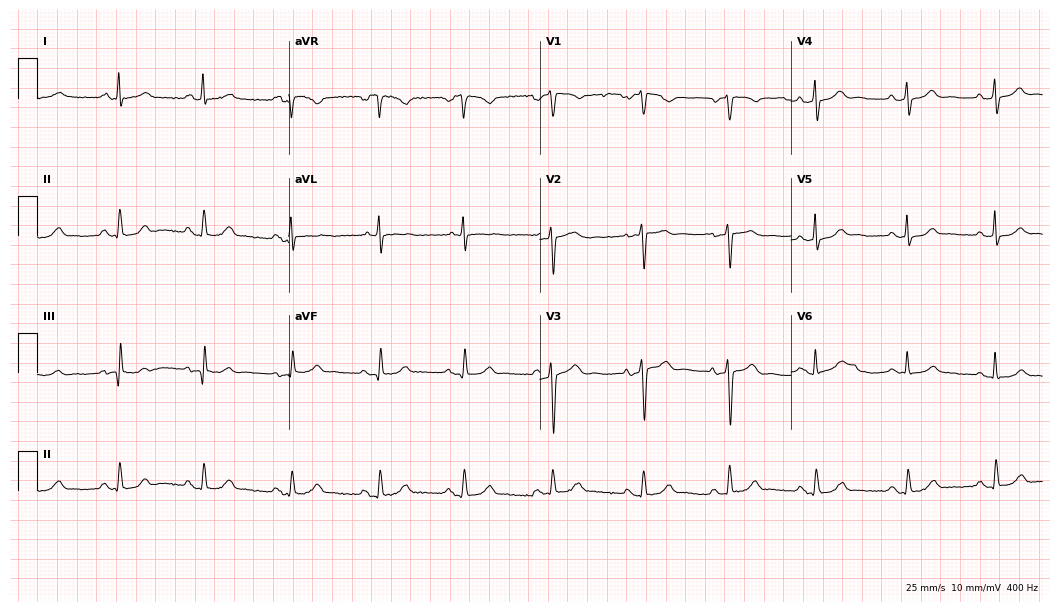
ECG (10.2-second recording at 400 Hz) — a female patient, 48 years old. Labelled as a normal ECG.